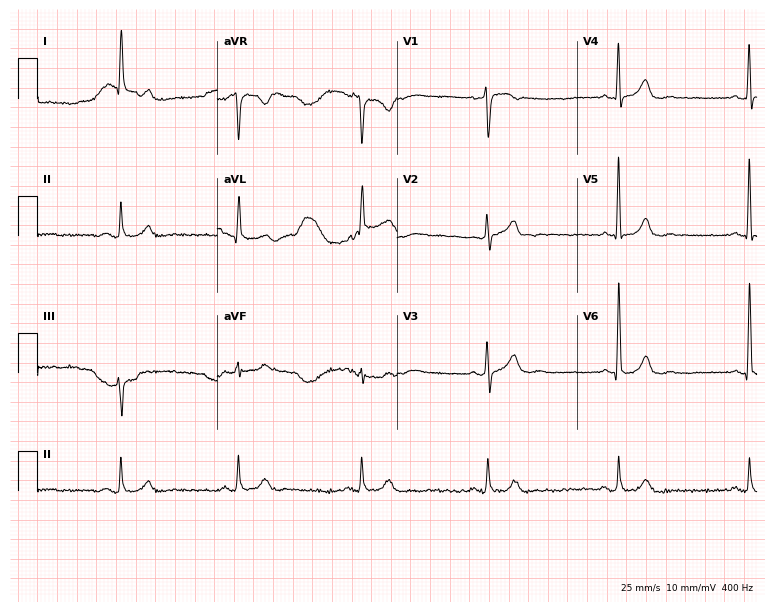
Resting 12-lead electrocardiogram. Patient: a male, 63 years old. The tracing shows sinus bradycardia (a sinus rate of 50 beats per minute or less).